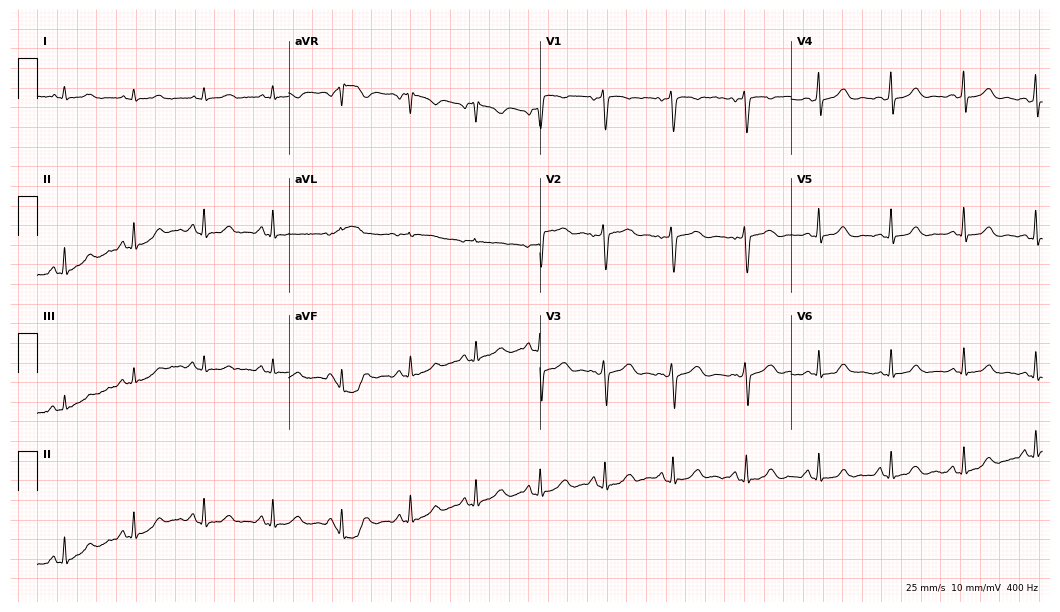
Electrocardiogram (10.2-second recording at 400 Hz), a woman, 40 years old. Overall reading on record: normal ECG.